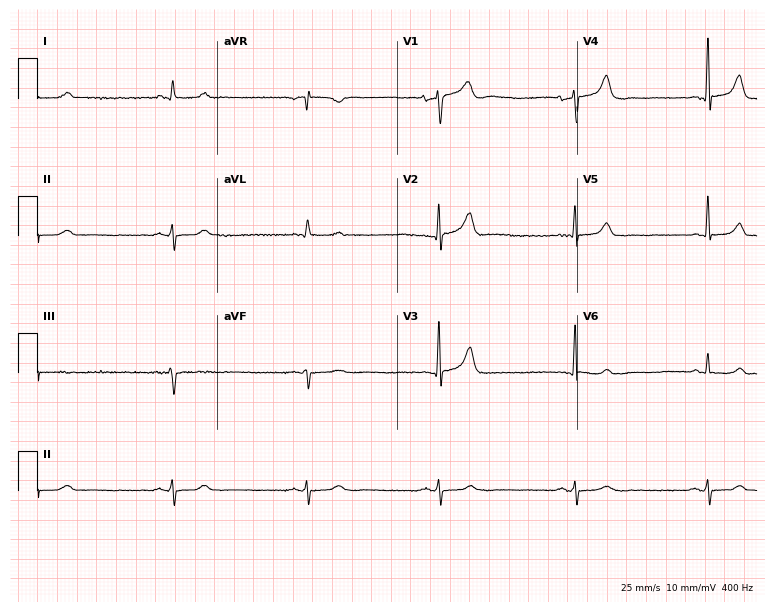
Resting 12-lead electrocardiogram. Patient: a male, 74 years old. The tracing shows sinus bradycardia (a sinus rate of 50 beats per minute or less).